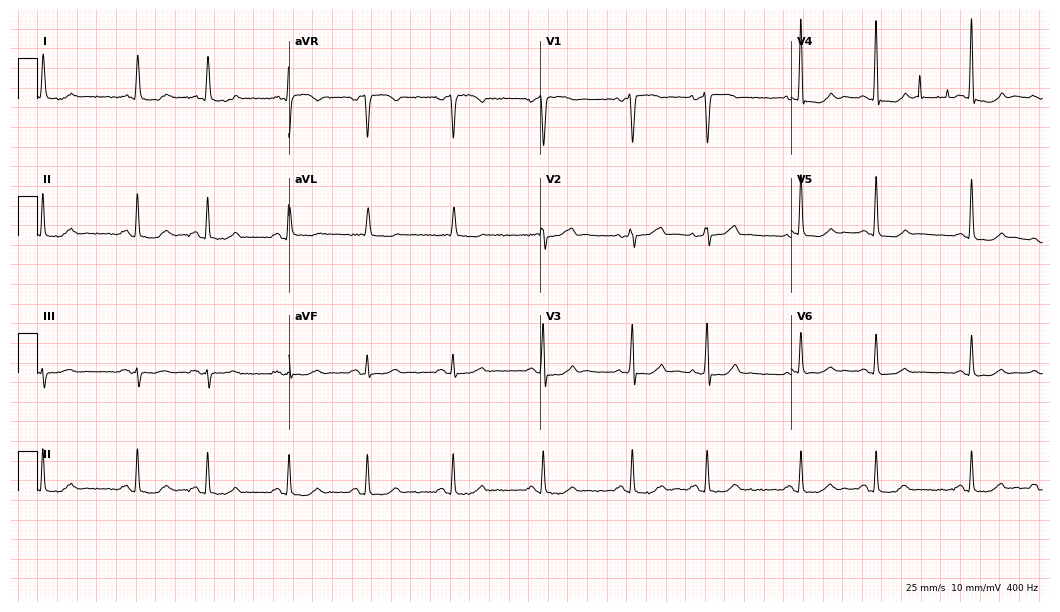
12-lead ECG from an 85-year-old female (10.2-second recording at 400 Hz). No first-degree AV block, right bundle branch block (RBBB), left bundle branch block (LBBB), sinus bradycardia, atrial fibrillation (AF) or sinus tachycardia recorded for this tracing.